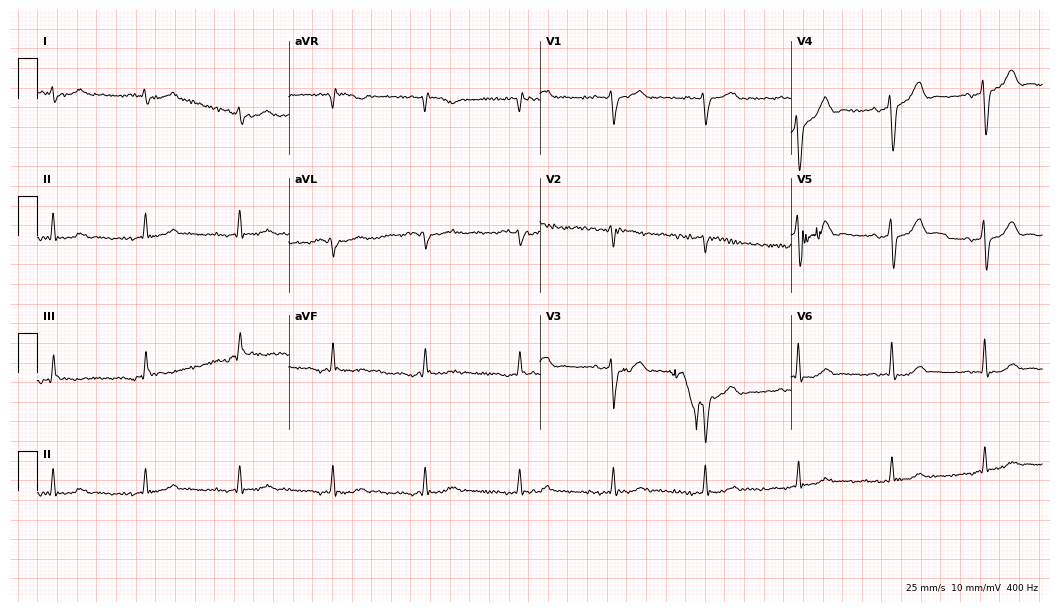
Resting 12-lead electrocardiogram (10.2-second recording at 400 Hz). Patient: a man, 71 years old. None of these six findings is recorded: first-degree AV block, right bundle branch block, left bundle branch block, sinus bradycardia, atrial fibrillation, sinus tachycardia. Only these six findings were labelled.